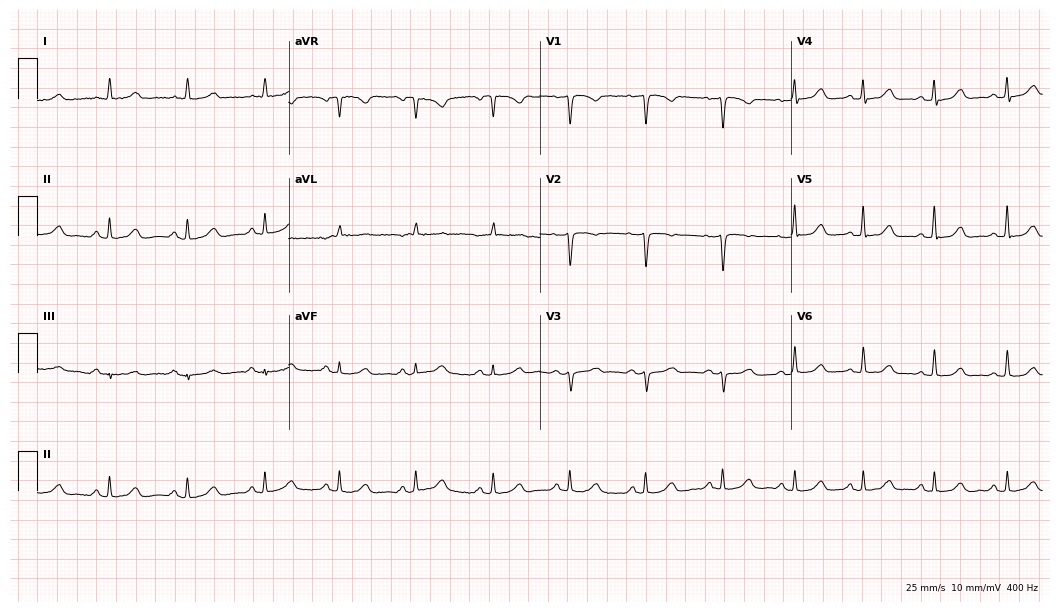
Standard 12-lead ECG recorded from a female, 56 years old (10.2-second recording at 400 Hz). Read as a normal ECG.